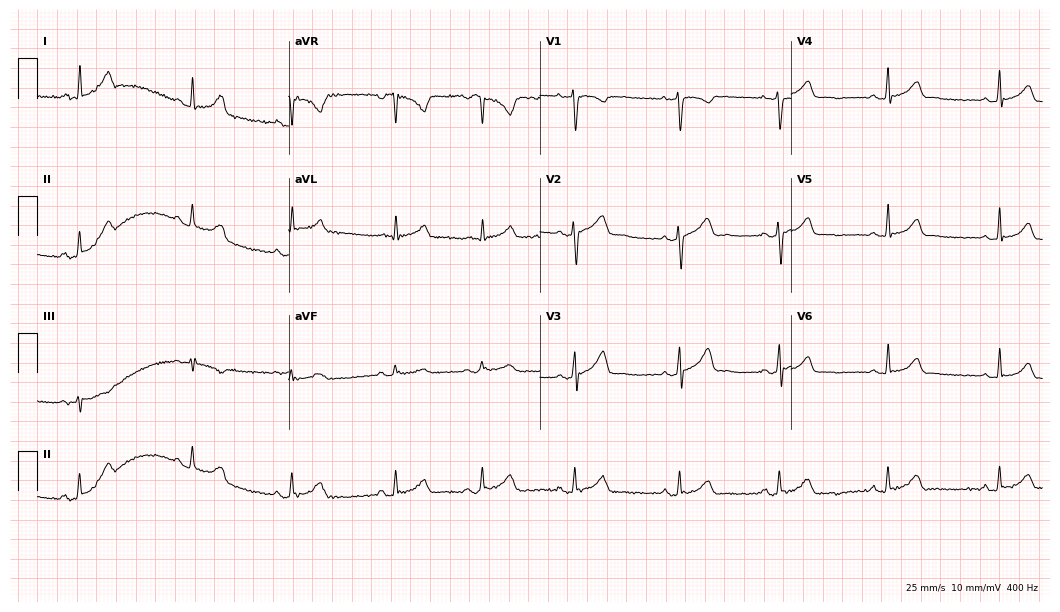
12-lead ECG from a 27-year-old female. Recorded interpretation: within normal limits.